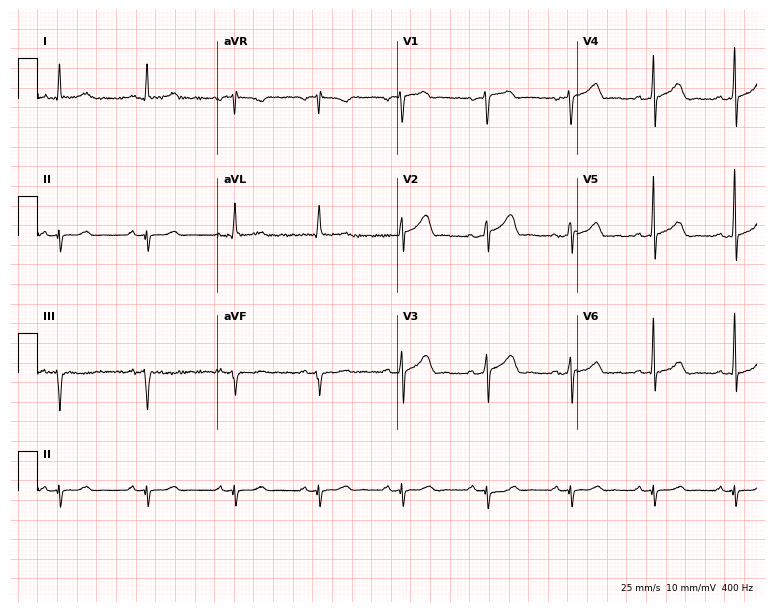
ECG (7.3-second recording at 400 Hz) — a 44-year-old male. Screened for six findings — first-degree AV block, right bundle branch block (RBBB), left bundle branch block (LBBB), sinus bradycardia, atrial fibrillation (AF), sinus tachycardia — none is recorded. Only these six findings were labelled.